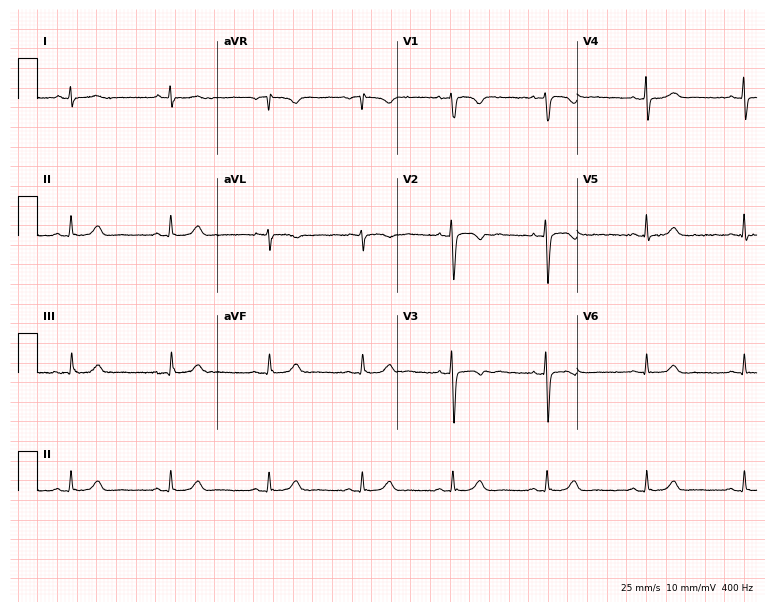
ECG (7.3-second recording at 400 Hz) — a female, 33 years old. Labelled as a normal ECG.